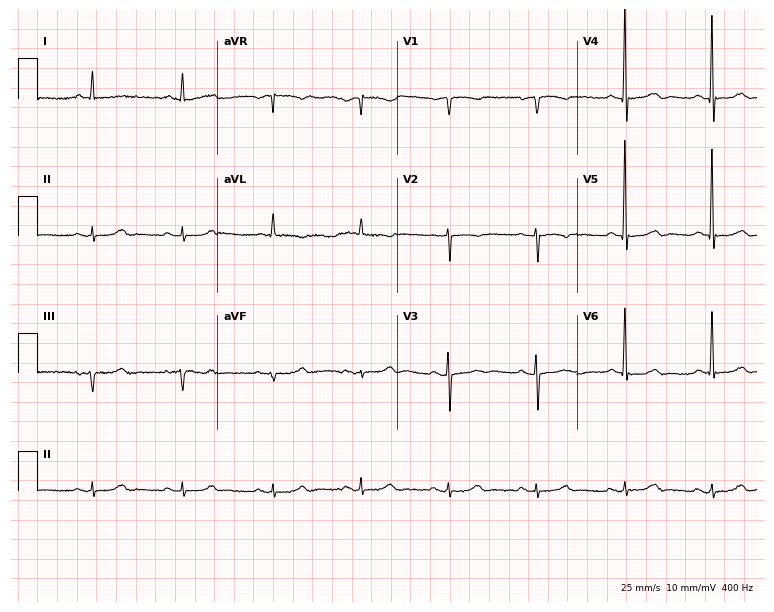
12-lead ECG (7.3-second recording at 400 Hz) from a 78-year-old female. Labelled as a normal ECG.